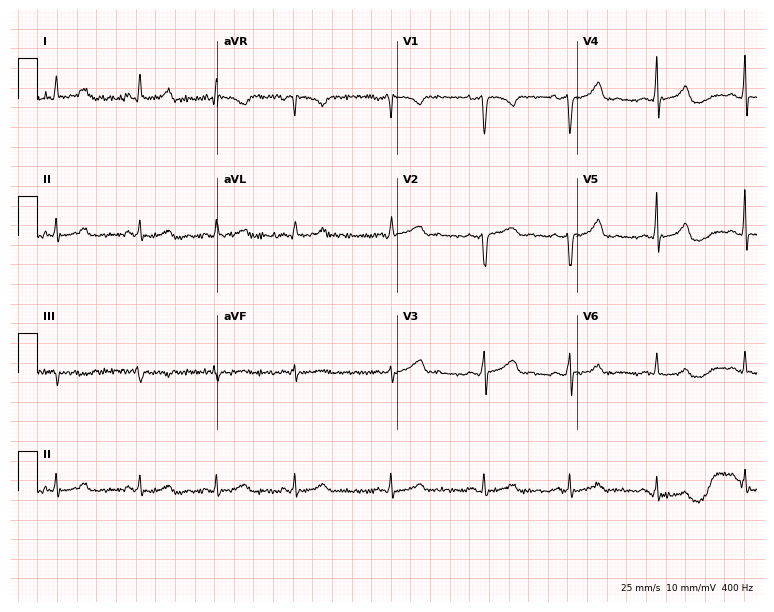
Electrocardiogram, a 29-year-old female patient. Of the six screened findings (first-degree AV block, right bundle branch block (RBBB), left bundle branch block (LBBB), sinus bradycardia, atrial fibrillation (AF), sinus tachycardia), none is recorded.